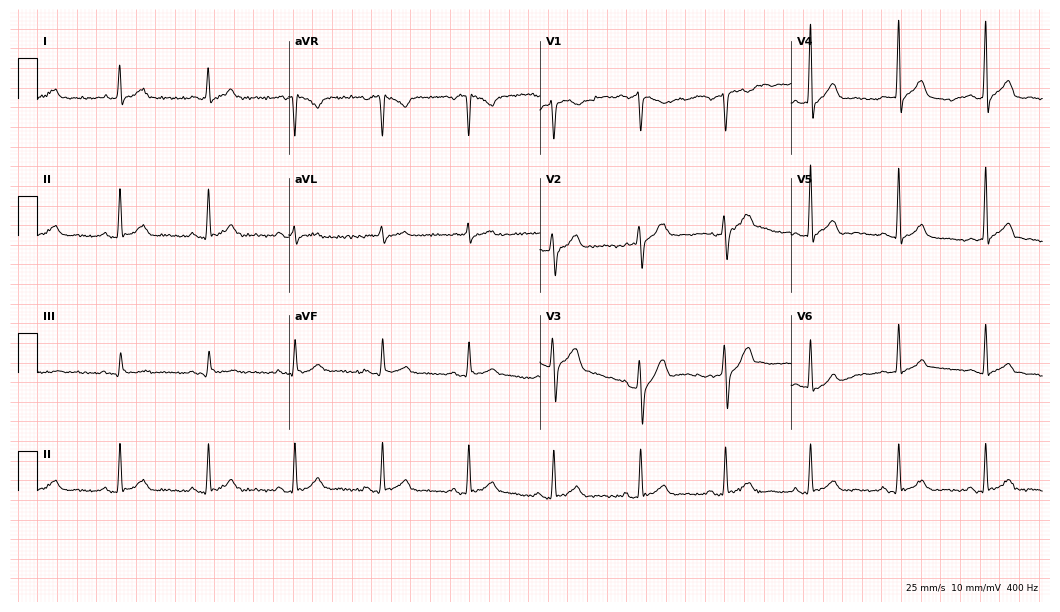
Resting 12-lead electrocardiogram (10.2-second recording at 400 Hz). Patient: a male, 39 years old. None of these six findings is recorded: first-degree AV block, right bundle branch block (RBBB), left bundle branch block (LBBB), sinus bradycardia, atrial fibrillation (AF), sinus tachycardia. Other findings, if any, are not listed.